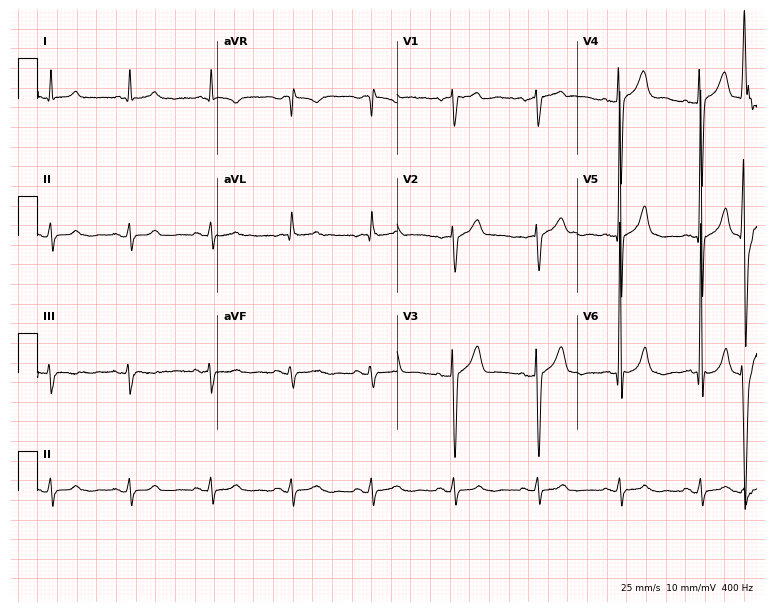
12-lead ECG from a male patient, 79 years old. Screened for six findings — first-degree AV block, right bundle branch block, left bundle branch block, sinus bradycardia, atrial fibrillation, sinus tachycardia — none is recorded.